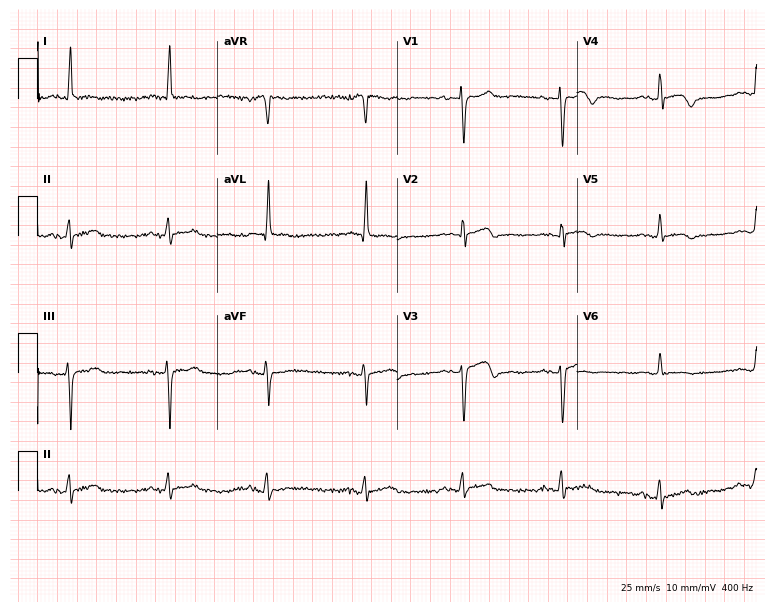
ECG (7.3-second recording at 400 Hz) — a woman, 80 years old. Screened for six findings — first-degree AV block, right bundle branch block, left bundle branch block, sinus bradycardia, atrial fibrillation, sinus tachycardia — none is recorded. Only these six findings were labelled.